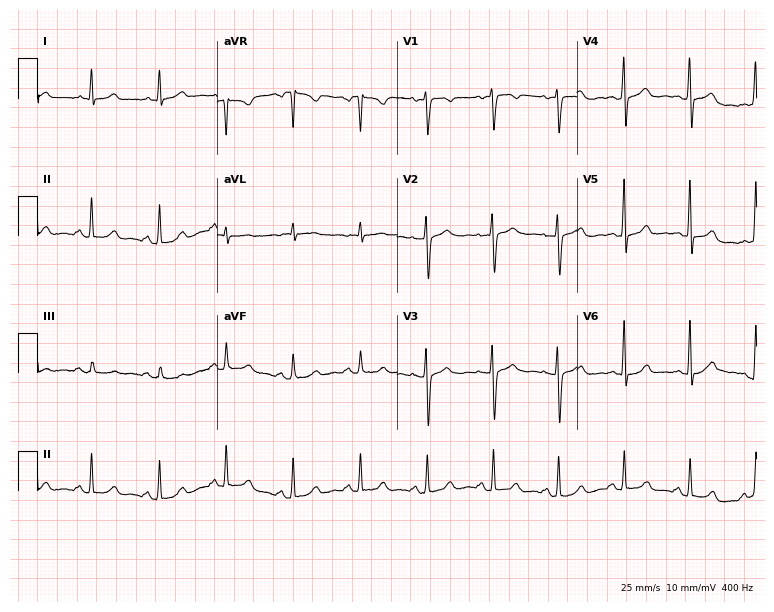
Electrocardiogram, a female patient, 45 years old. Overall reading on record: normal ECG.